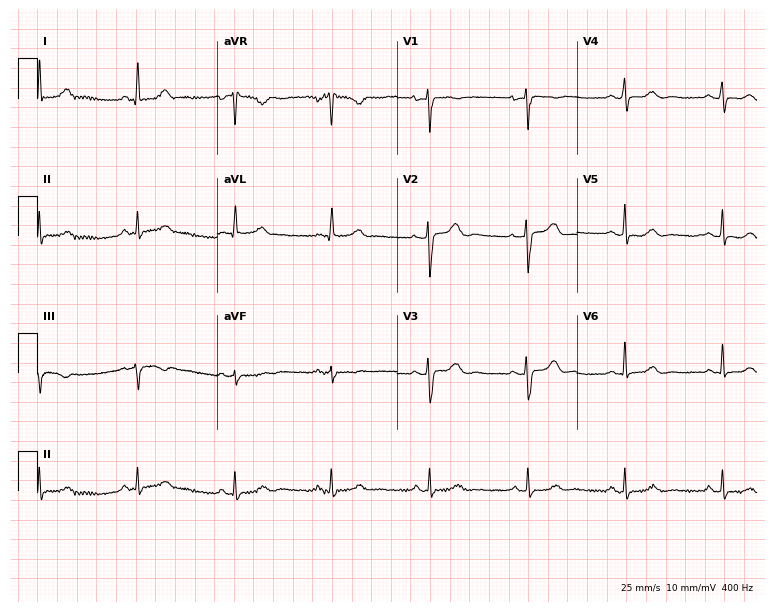
12-lead ECG from a woman, 49 years old. No first-degree AV block, right bundle branch block, left bundle branch block, sinus bradycardia, atrial fibrillation or sinus tachycardia recorded for this tracing.